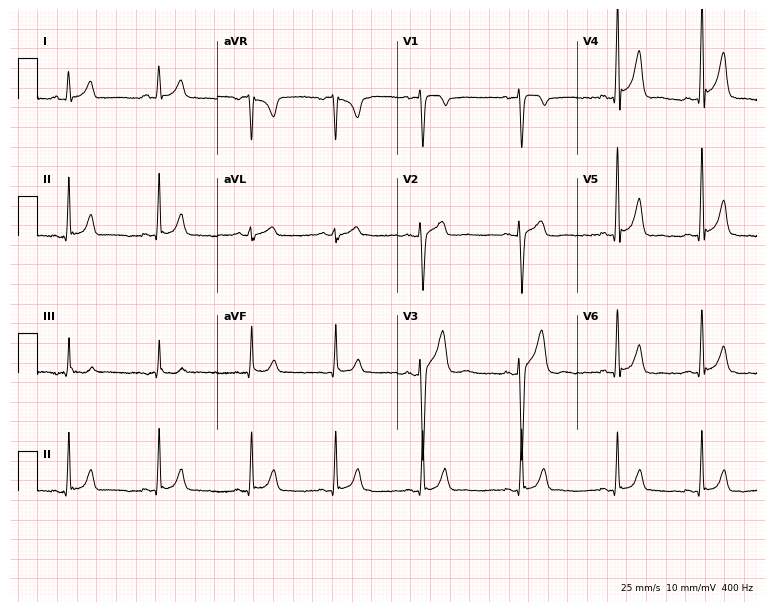
Resting 12-lead electrocardiogram. Patient: a male, 20 years old. Read as a normal ECG.